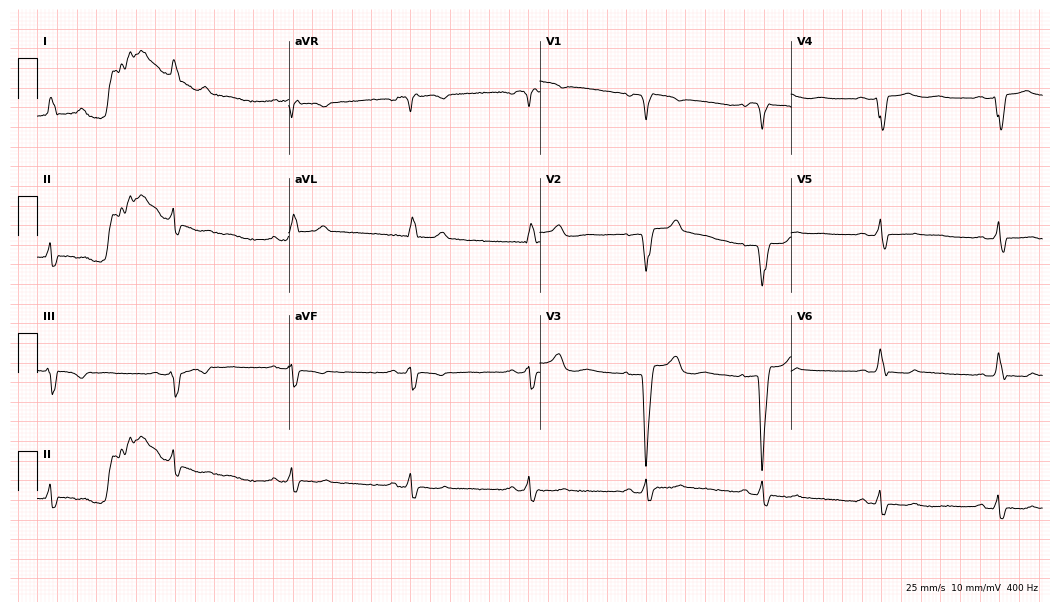
Electrocardiogram, a woman, 69 years old. Interpretation includes left bundle branch block.